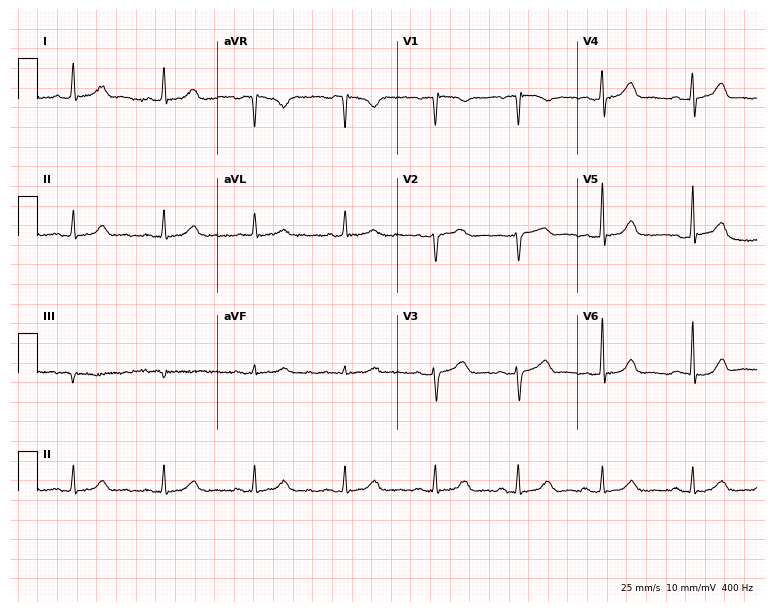
Electrocardiogram, a female, 79 years old. Overall reading on record: normal ECG.